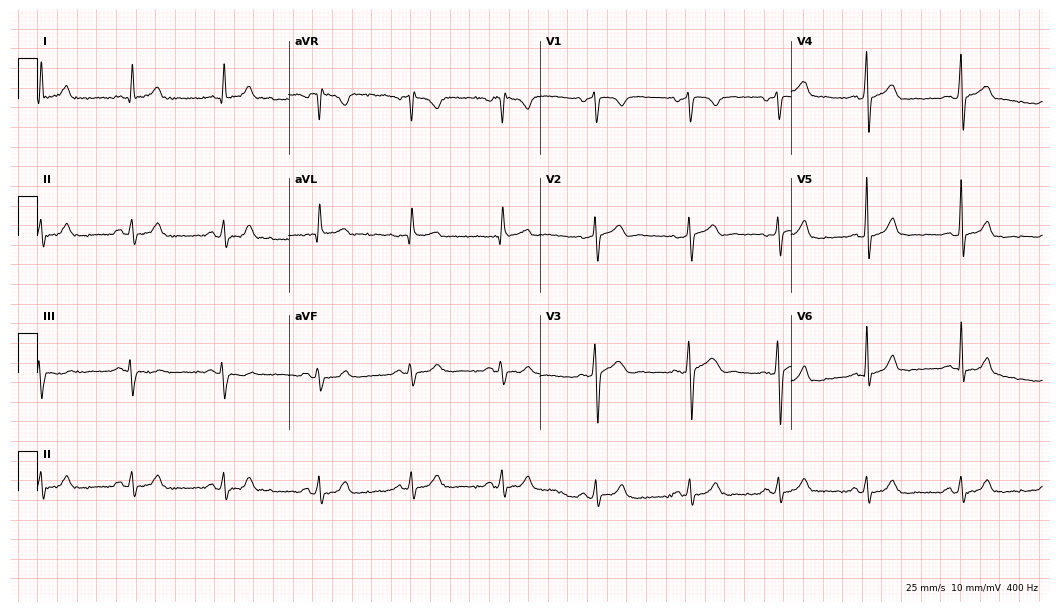
Electrocardiogram, a man, 44 years old. Overall reading on record: normal ECG.